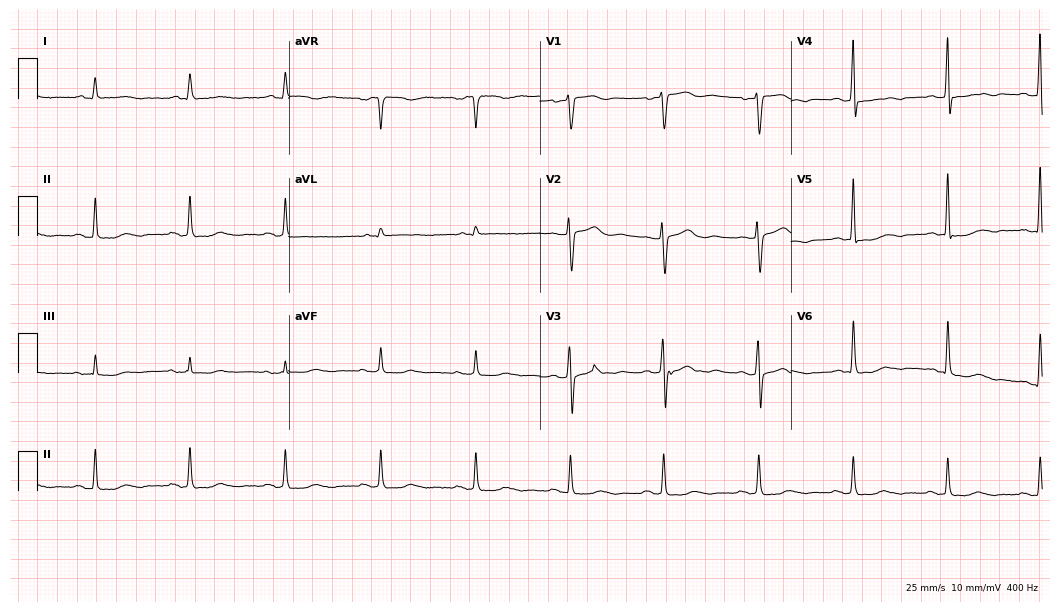
Resting 12-lead electrocardiogram. Patient: a 50-year-old female. Read as a normal ECG.